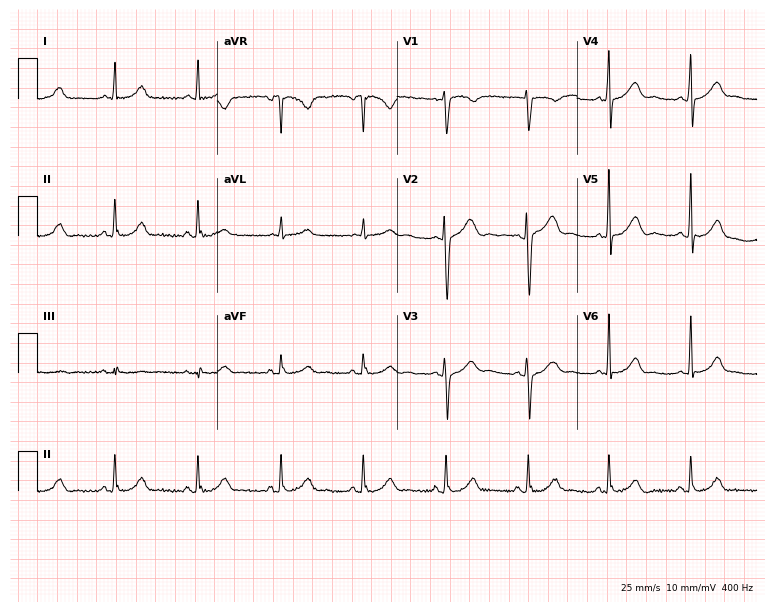
Electrocardiogram (7.3-second recording at 400 Hz), a female, 31 years old. Of the six screened findings (first-degree AV block, right bundle branch block, left bundle branch block, sinus bradycardia, atrial fibrillation, sinus tachycardia), none is recorded.